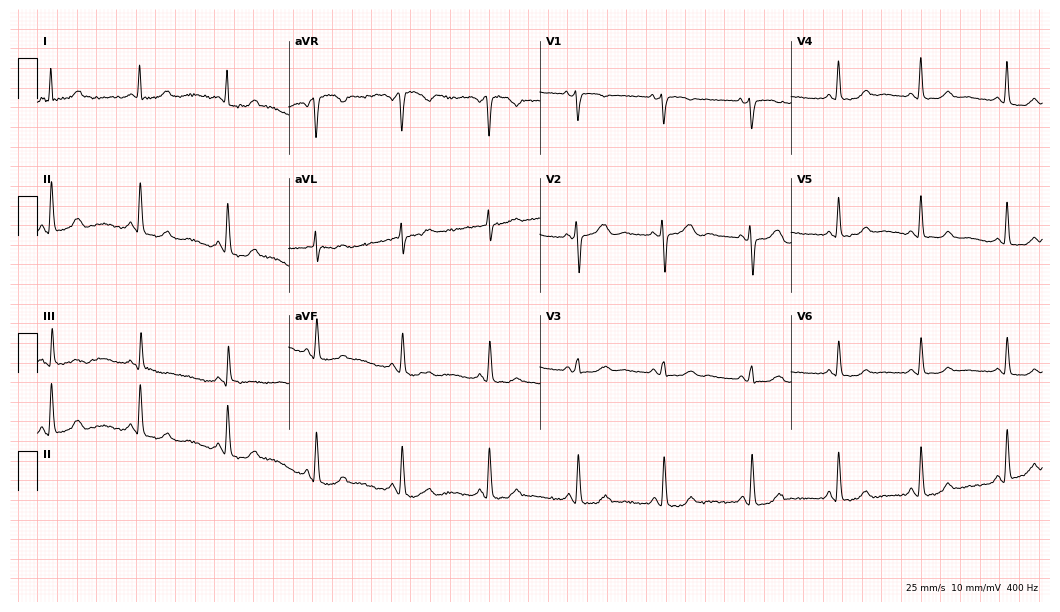
ECG (10.2-second recording at 400 Hz) — a 53-year-old female patient. Screened for six findings — first-degree AV block, right bundle branch block (RBBB), left bundle branch block (LBBB), sinus bradycardia, atrial fibrillation (AF), sinus tachycardia — none is recorded.